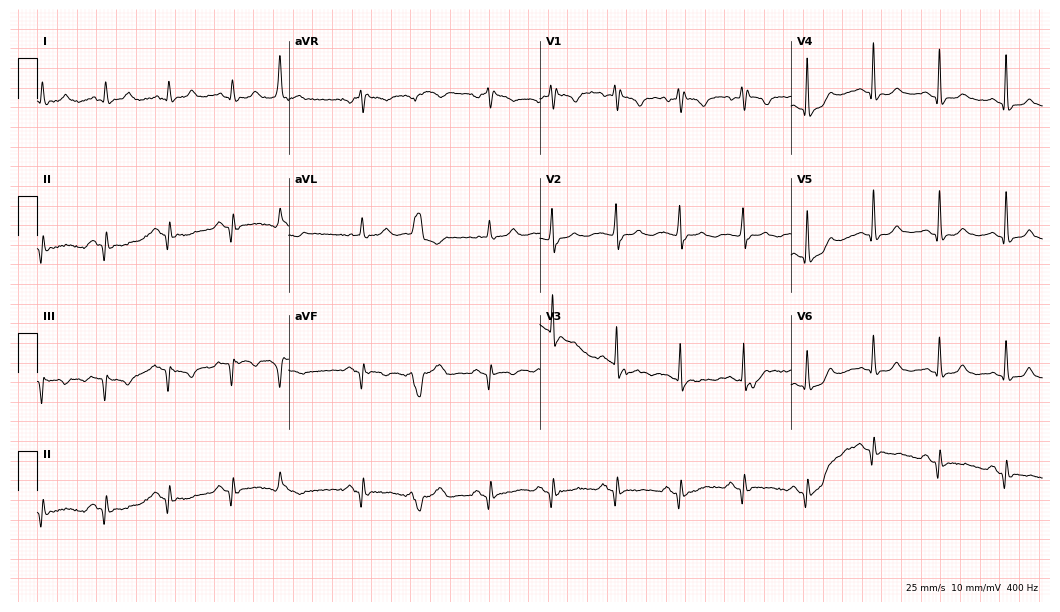
ECG — a 64-year-old male patient. Findings include right bundle branch block.